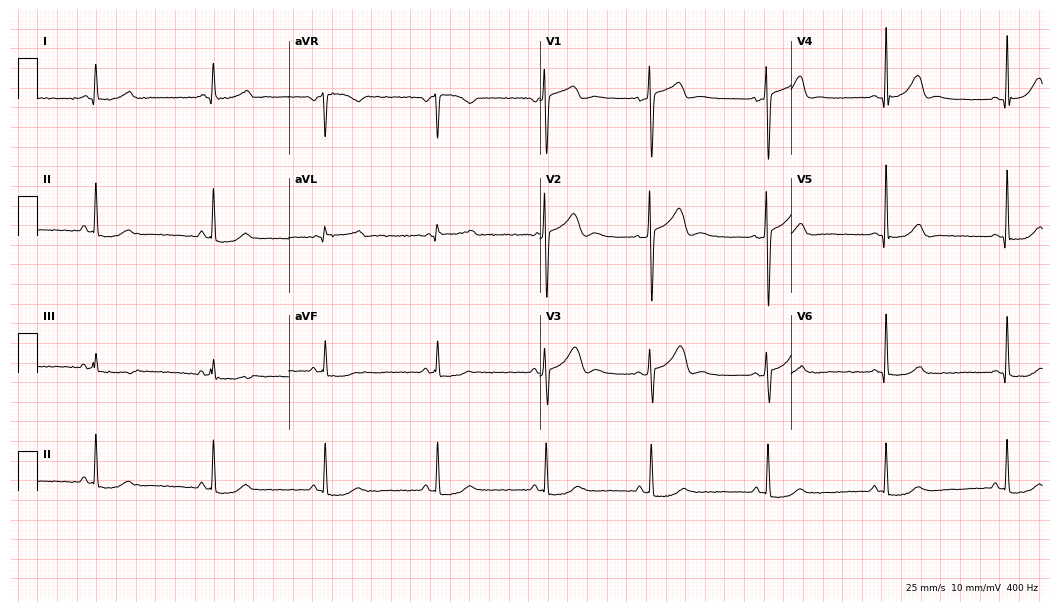
ECG — a 35-year-old woman. Screened for six findings — first-degree AV block, right bundle branch block, left bundle branch block, sinus bradycardia, atrial fibrillation, sinus tachycardia — none is recorded.